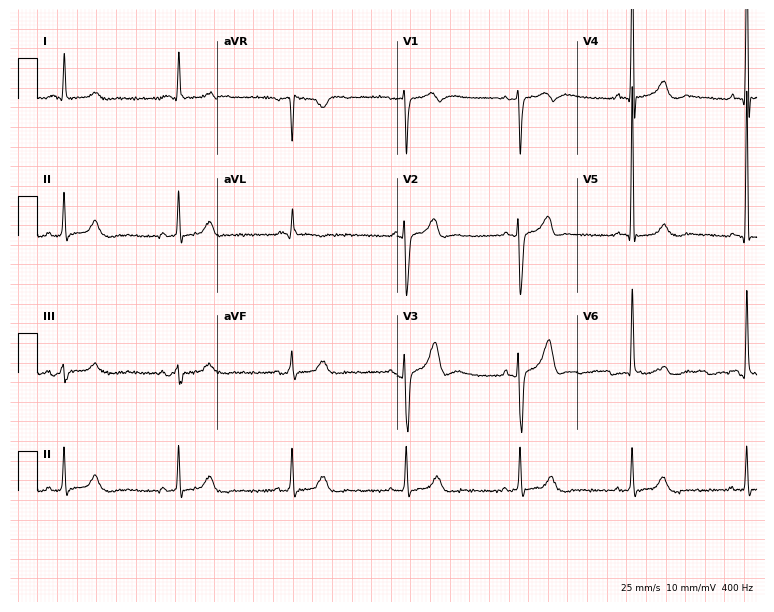
Resting 12-lead electrocardiogram. Patient: a male, 75 years old. None of these six findings is recorded: first-degree AV block, right bundle branch block, left bundle branch block, sinus bradycardia, atrial fibrillation, sinus tachycardia. Findings outside these six are not listed.